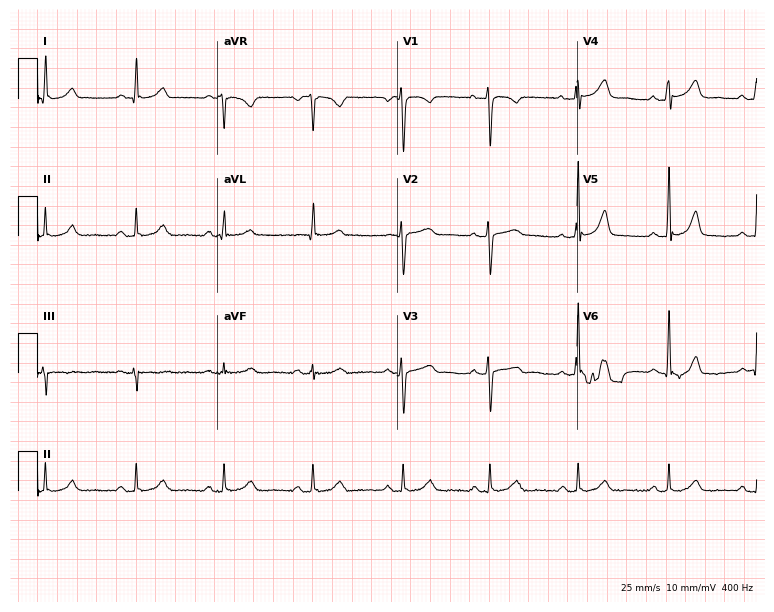
12-lead ECG (7.3-second recording at 400 Hz) from a female, 49 years old. Labelled as a normal ECG.